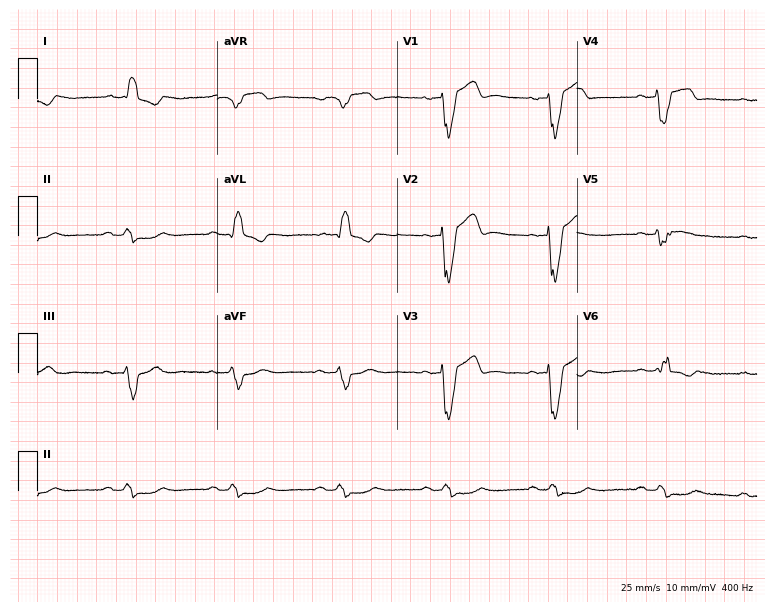
Resting 12-lead electrocardiogram (7.3-second recording at 400 Hz). Patient: a man, 86 years old. The tracing shows first-degree AV block, left bundle branch block.